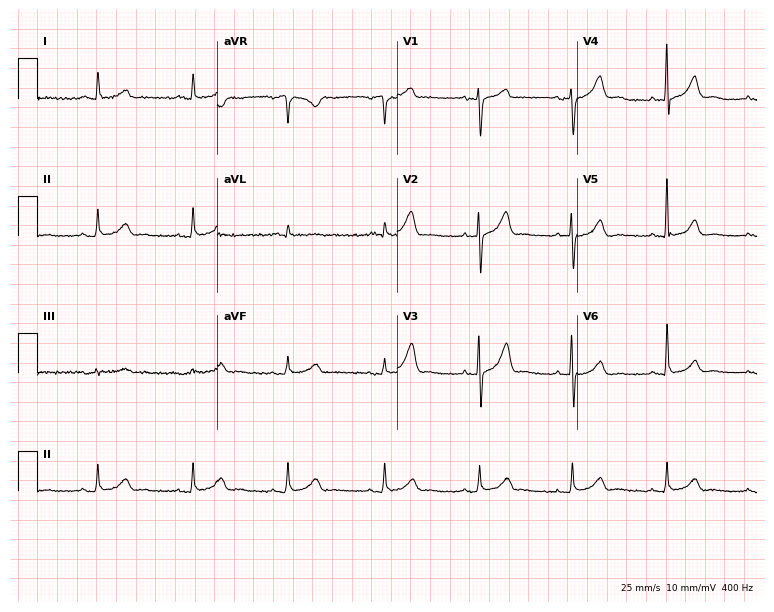
ECG (7.3-second recording at 400 Hz) — a 77-year-old man. Labelled as a normal ECG.